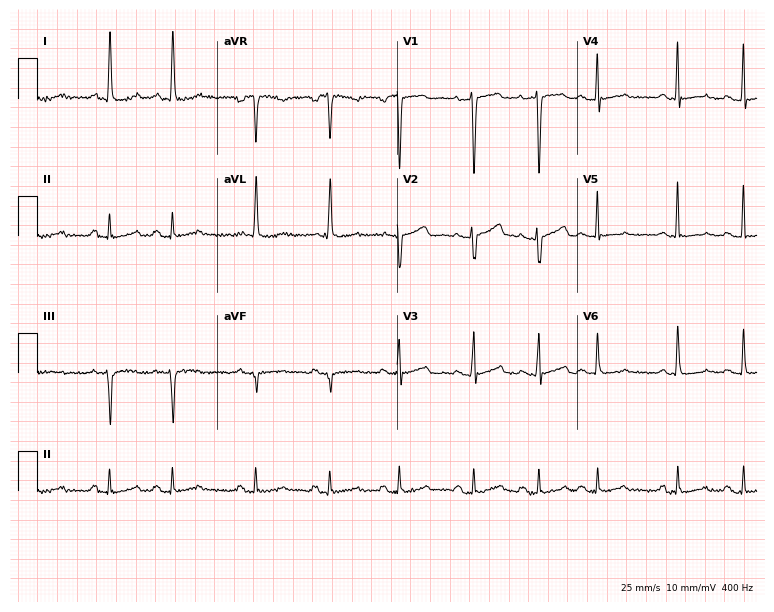
12-lead ECG from a female patient, 64 years old. Screened for six findings — first-degree AV block, right bundle branch block, left bundle branch block, sinus bradycardia, atrial fibrillation, sinus tachycardia — none is recorded.